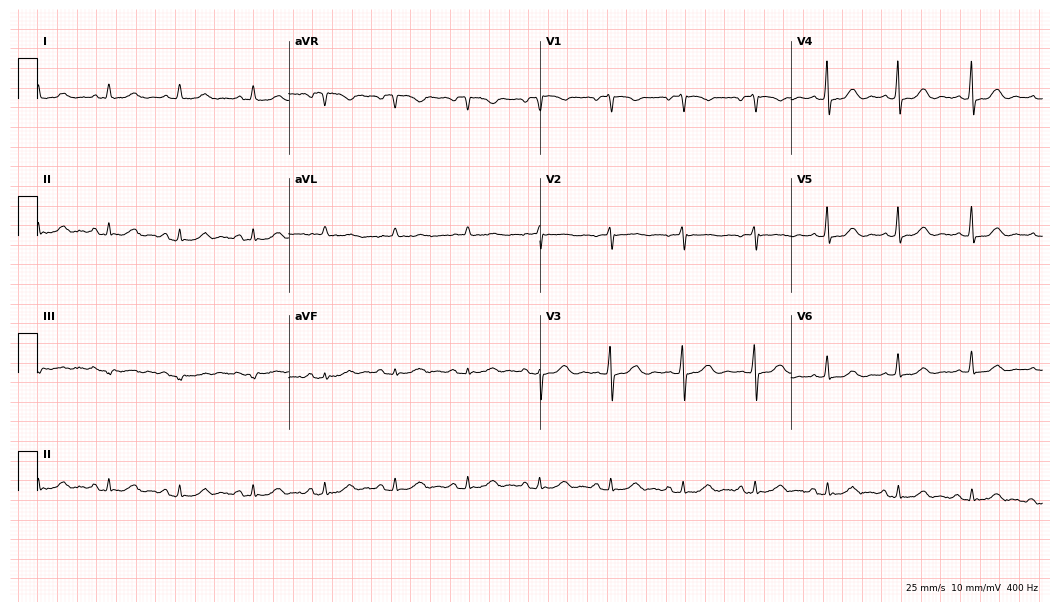
ECG (10.2-second recording at 400 Hz) — a 70-year-old female patient. Screened for six findings — first-degree AV block, right bundle branch block, left bundle branch block, sinus bradycardia, atrial fibrillation, sinus tachycardia — none is recorded. Other findings, if any, are not listed.